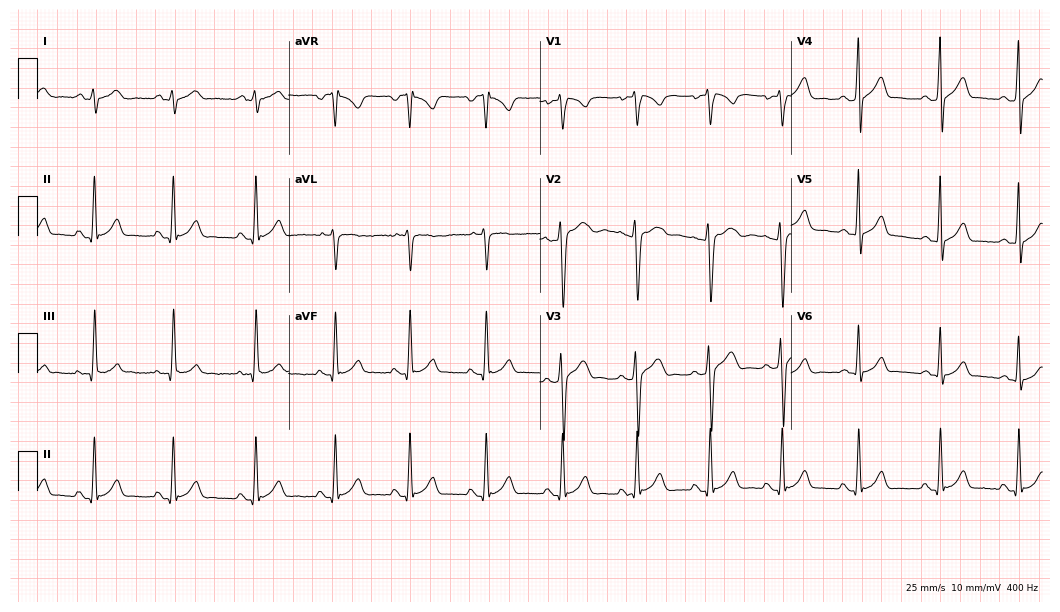
Standard 12-lead ECG recorded from a 19-year-old male. None of these six findings is recorded: first-degree AV block, right bundle branch block (RBBB), left bundle branch block (LBBB), sinus bradycardia, atrial fibrillation (AF), sinus tachycardia.